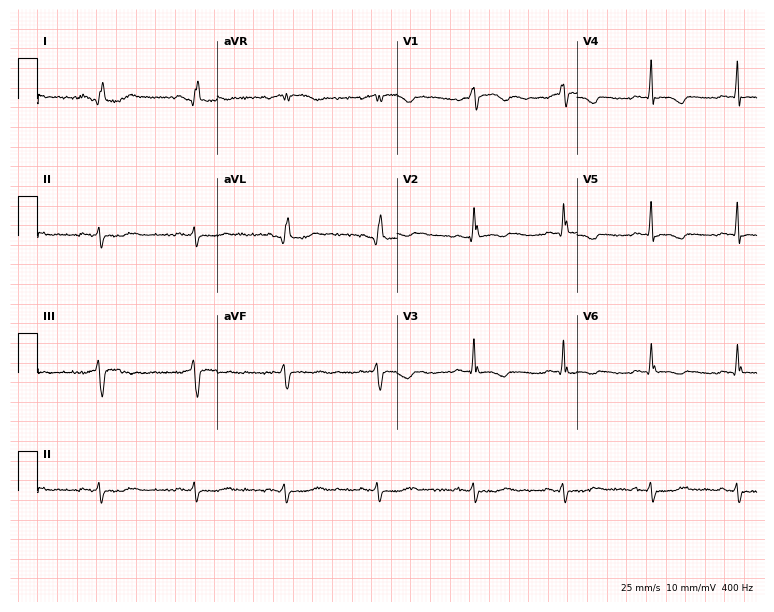
12-lead ECG from a woman, 61 years old (7.3-second recording at 400 Hz). No first-degree AV block, right bundle branch block, left bundle branch block, sinus bradycardia, atrial fibrillation or sinus tachycardia recorded for this tracing.